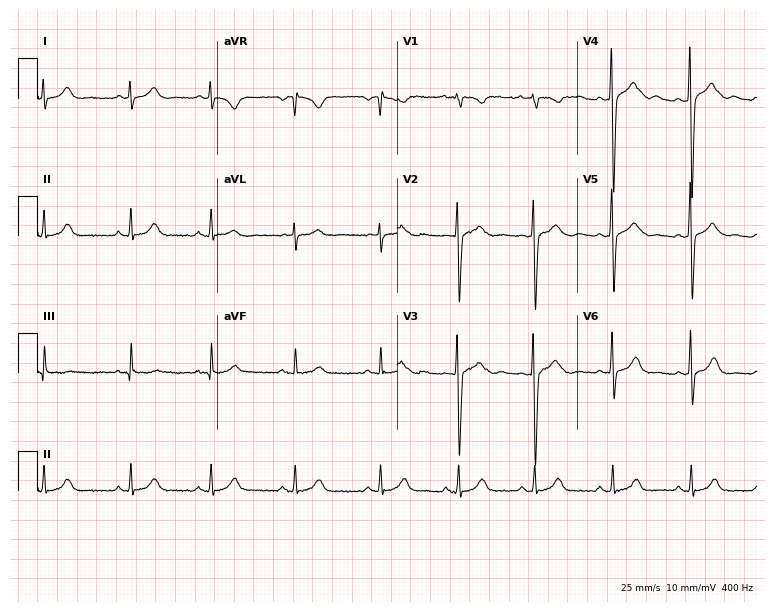
12-lead ECG (7.3-second recording at 400 Hz) from a 20-year-old woman. Screened for six findings — first-degree AV block, right bundle branch block, left bundle branch block, sinus bradycardia, atrial fibrillation, sinus tachycardia — none is recorded.